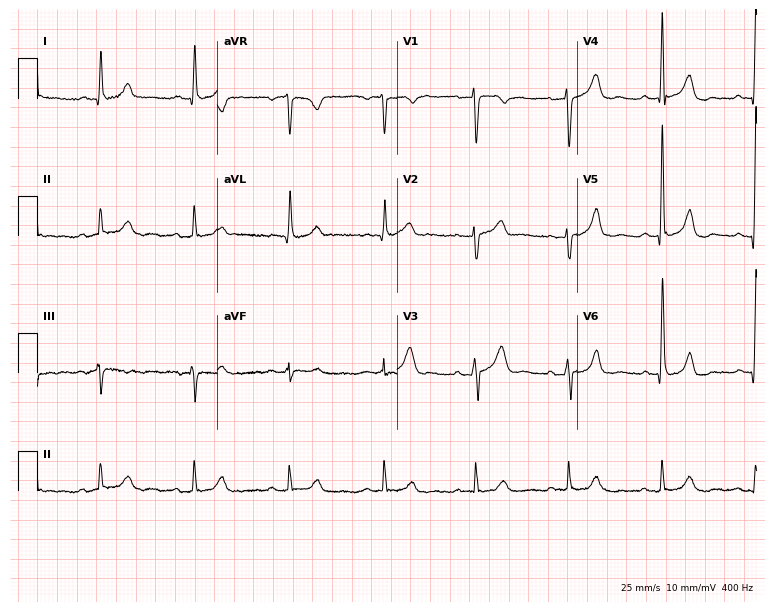
Electrocardiogram, a male, 67 years old. Of the six screened findings (first-degree AV block, right bundle branch block, left bundle branch block, sinus bradycardia, atrial fibrillation, sinus tachycardia), none is recorded. Other findings, if any, are not listed.